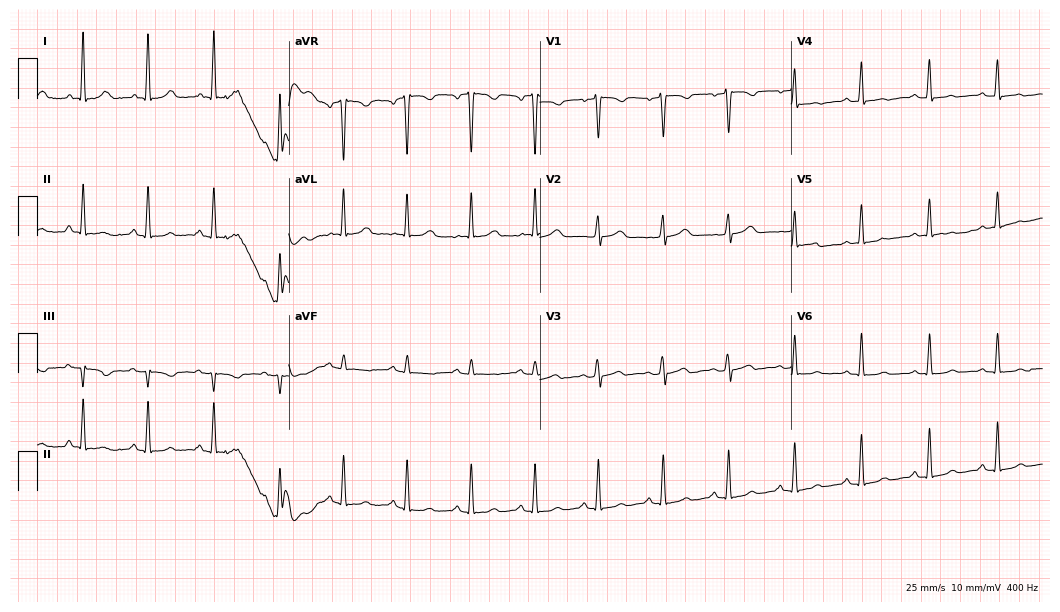
Standard 12-lead ECG recorded from a 47-year-old female patient (10.2-second recording at 400 Hz). Read as a normal ECG.